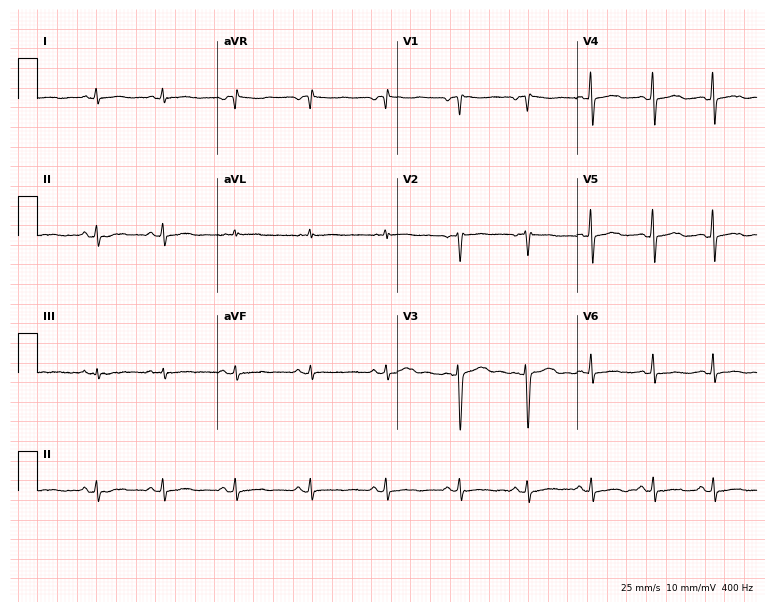
12-lead ECG (7.3-second recording at 400 Hz) from a female patient, 41 years old. Screened for six findings — first-degree AV block, right bundle branch block (RBBB), left bundle branch block (LBBB), sinus bradycardia, atrial fibrillation (AF), sinus tachycardia — none is recorded.